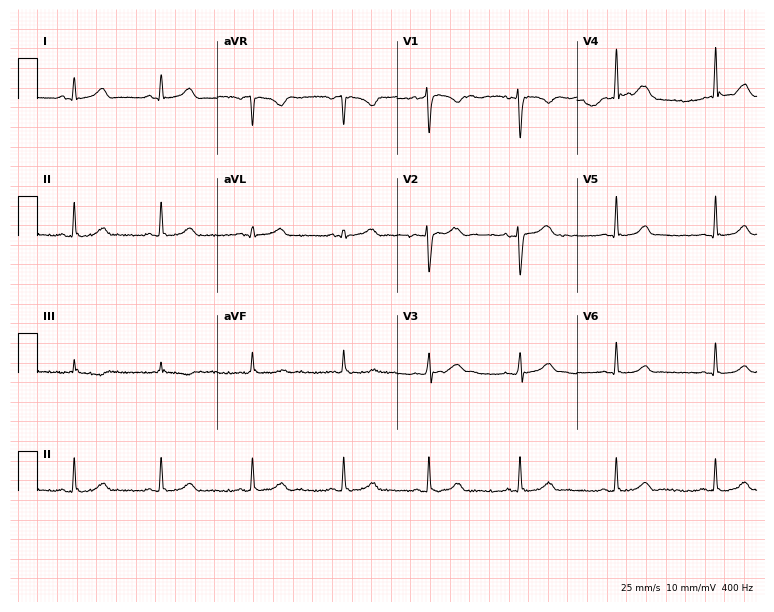
12-lead ECG from a female, 29 years old. No first-degree AV block, right bundle branch block, left bundle branch block, sinus bradycardia, atrial fibrillation or sinus tachycardia recorded for this tracing. Findings outside these six are not listed.